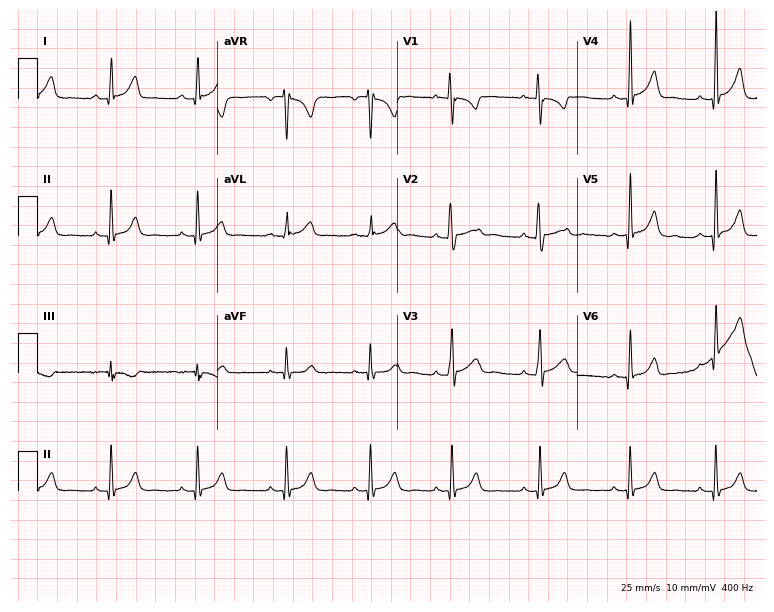
12-lead ECG from a 27-year-old woman. Recorded interpretation: within normal limits.